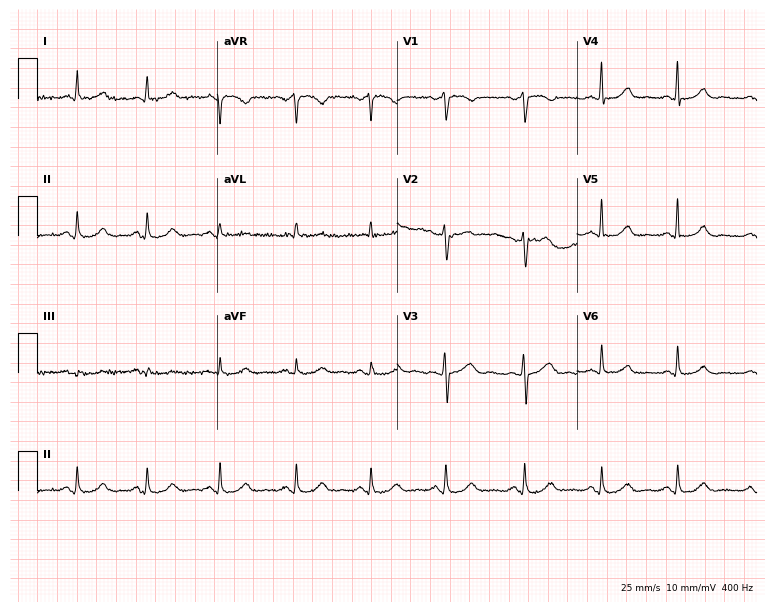
12-lead ECG (7.3-second recording at 400 Hz) from a 43-year-old woman. Labelled as a normal ECG.